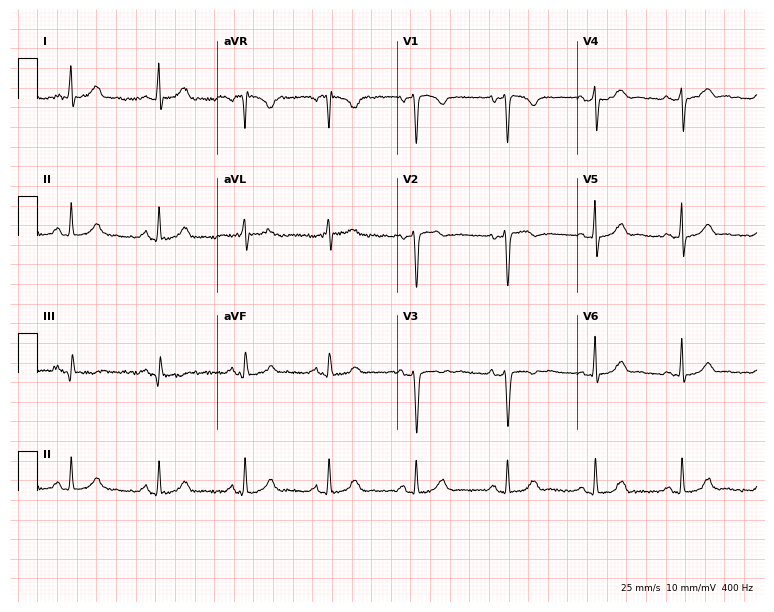
Standard 12-lead ECG recorded from a 46-year-old woman (7.3-second recording at 400 Hz). None of these six findings is recorded: first-degree AV block, right bundle branch block, left bundle branch block, sinus bradycardia, atrial fibrillation, sinus tachycardia. Other findings, if any, are not listed.